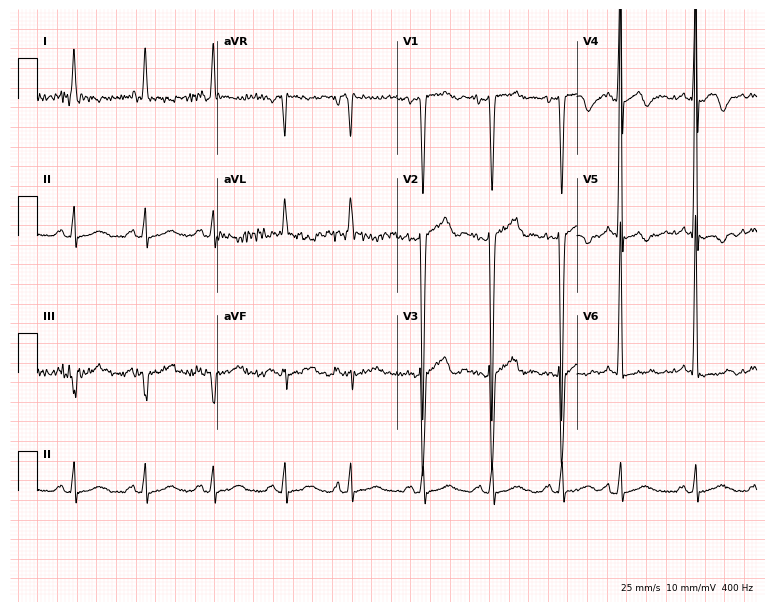
Electrocardiogram, a 76-year-old male. Of the six screened findings (first-degree AV block, right bundle branch block (RBBB), left bundle branch block (LBBB), sinus bradycardia, atrial fibrillation (AF), sinus tachycardia), none is recorded. Findings outside these six are not listed.